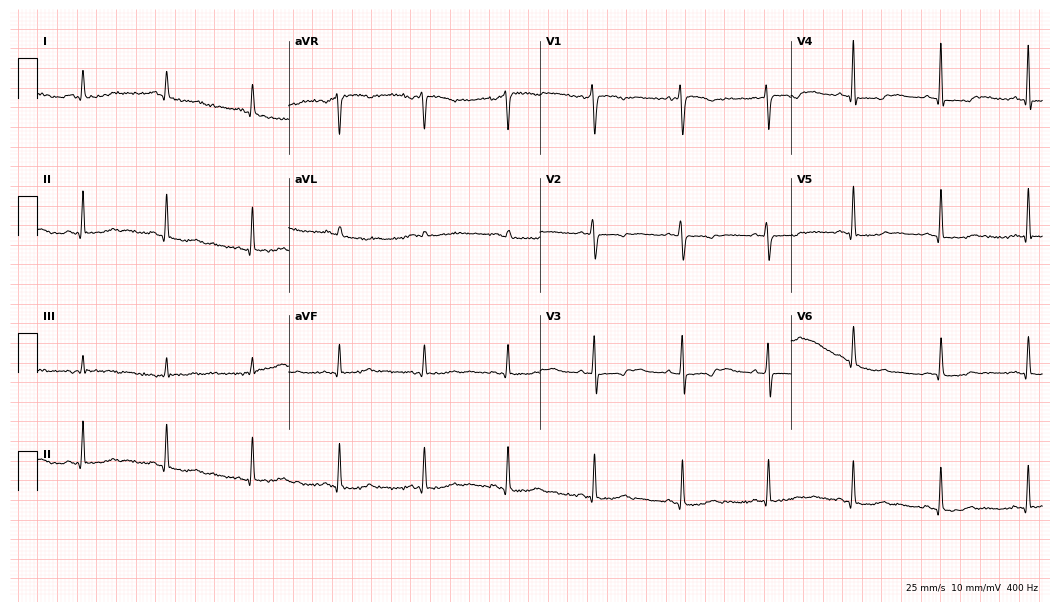
12-lead ECG from a woman, 63 years old (10.2-second recording at 400 Hz). No first-degree AV block, right bundle branch block, left bundle branch block, sinus bradycardia, atrial fibrillation or sinus tachycardia recorded for this tracing. Only these six findings were labelled.